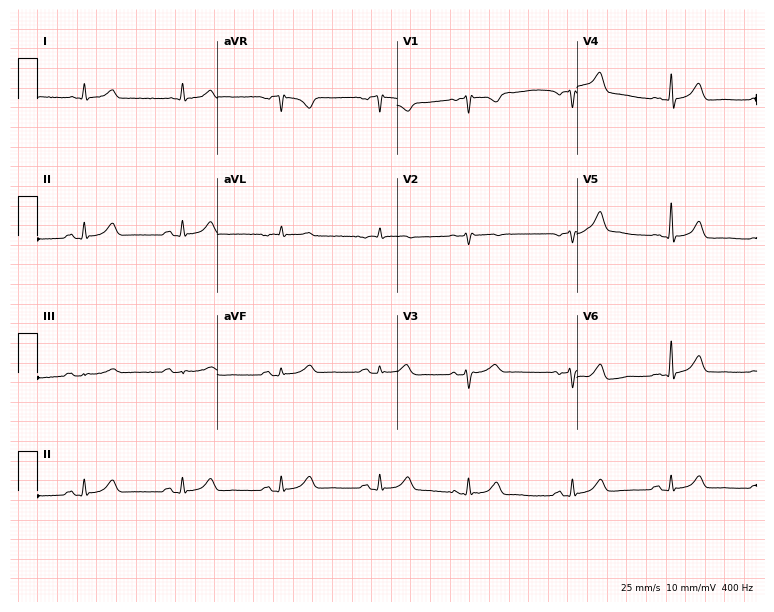
Resting 12-lead electrocardiogram. Patient: a man, 75 years old. None of these six findings is recorded: first-degree AV block, right bundle branch block, left bundle branch block, sinus bradycardia, atrial fibrillation, sinus tachycardia.